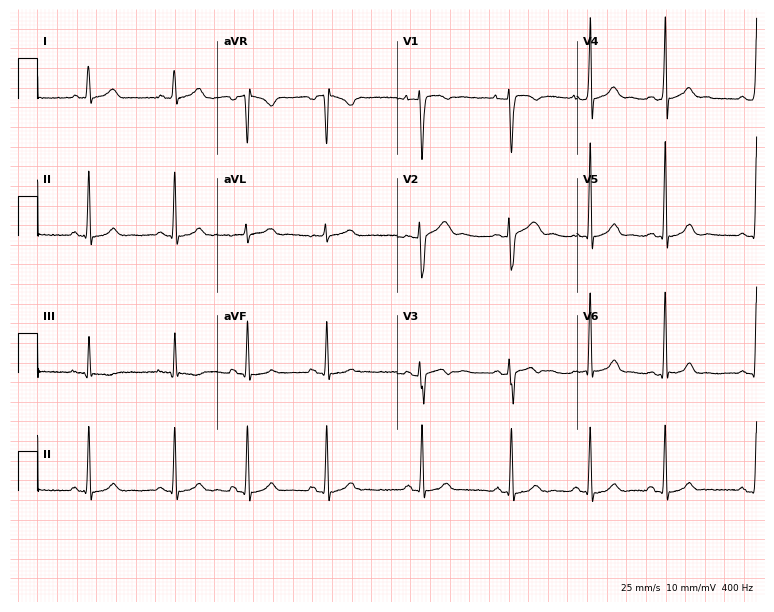
Electrocardiogram, a 19-year-old woman. Of the six screened findings (first-degree AV block, right bundle branch block (RBBB), left bundle branch block (LBBB), sinus bradycardia, atrial fibrillation (AF), sinus tachycardia), none is recorded.